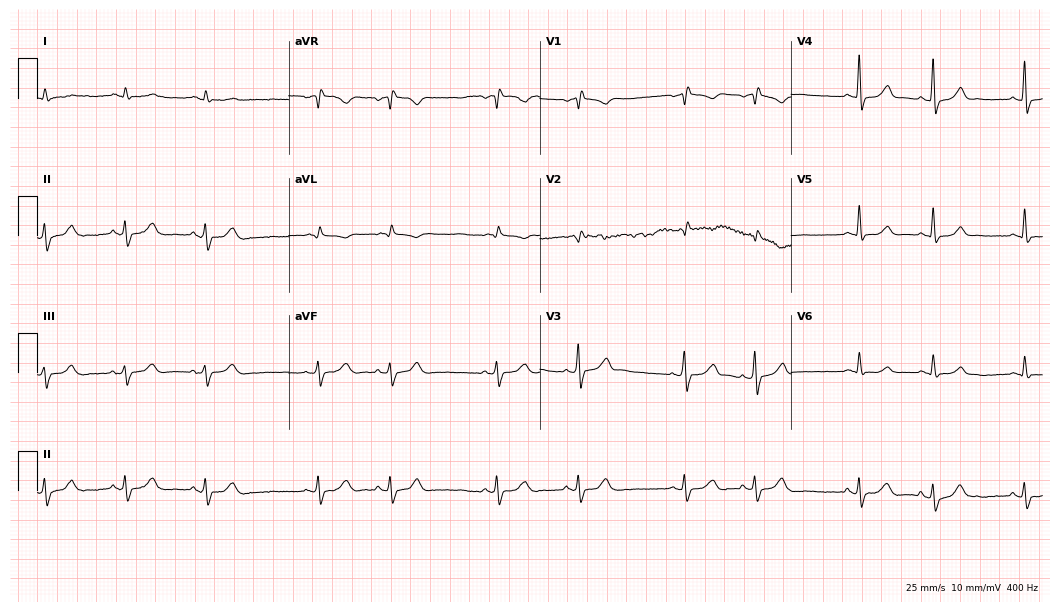
Standard 12-lead ECG recorded from a male patient, 69 years old. None of these six findings is recorded: first-degree AV block, right bundle branch block, left bundle branch block, sinus bradycardia, atrial fibrillation, sinus tachycardia.